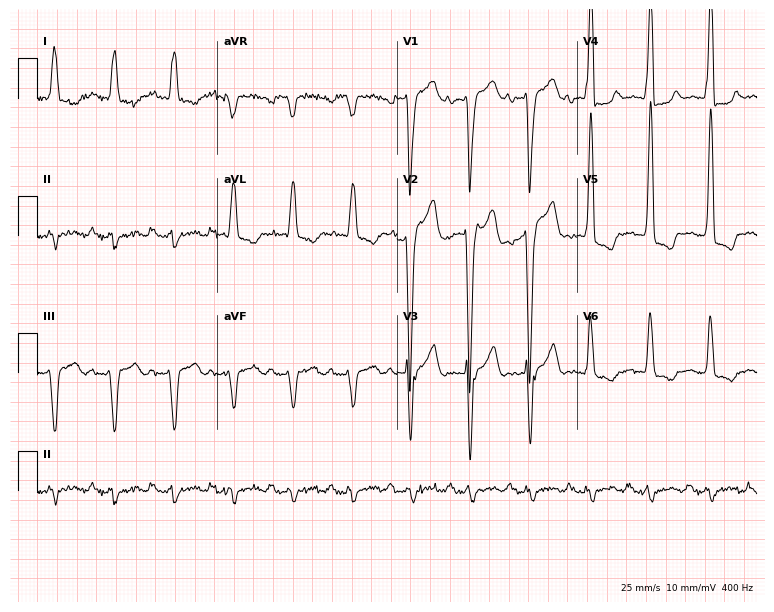
Resting 12-lead electrocardiogram (7.3-second recording at 400 Hz). Patient: a male, 72 years old. The tracing shows first-degree AV block.